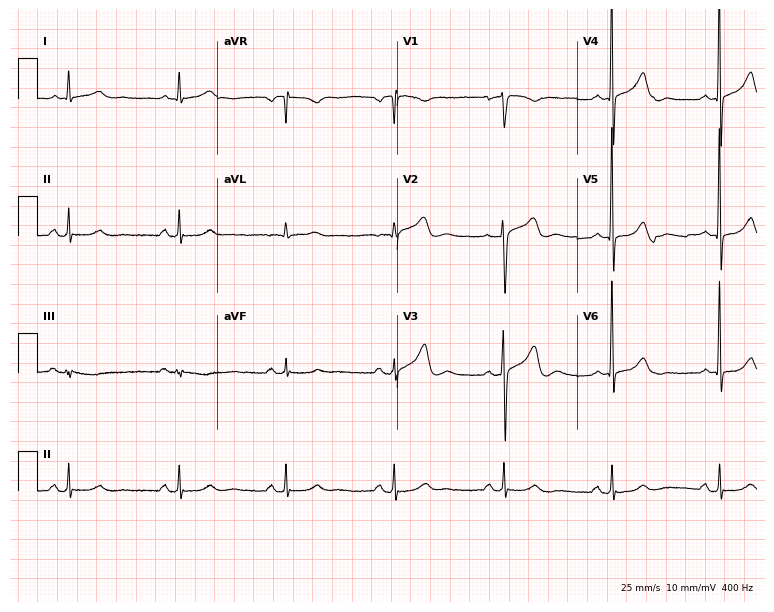
Electrocardiogram (7.3-second recording at 400 Hz), a woman, 60 years old. Overall reading on record: normal ECG.